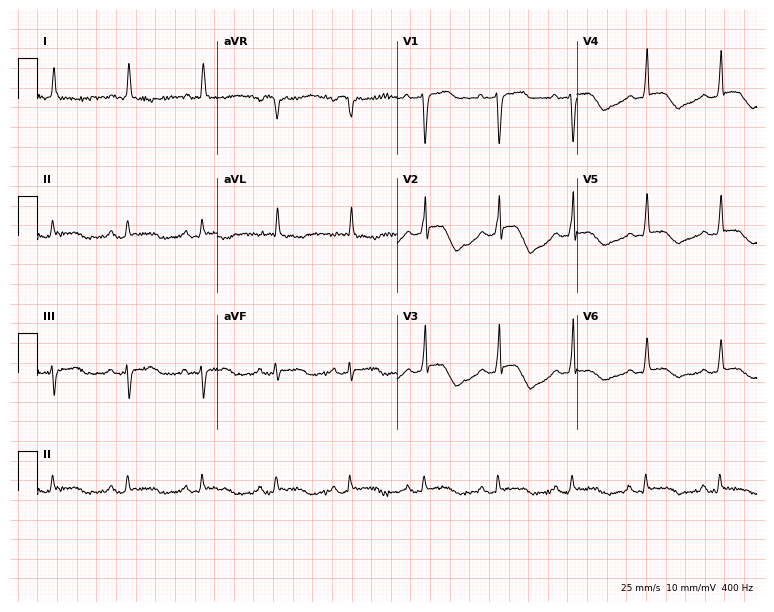
12-lead ECG from an 82-year-old female (7.3-second recording at 400 Hz). No first-degree AV block, right bundle branch block (RBBB), left bundle branch block (LBBB), sinus bradycardia, atrial fibrillation (AF) or sinus tachycardia recorded for this tracing. Other findings, if any, are not listed.